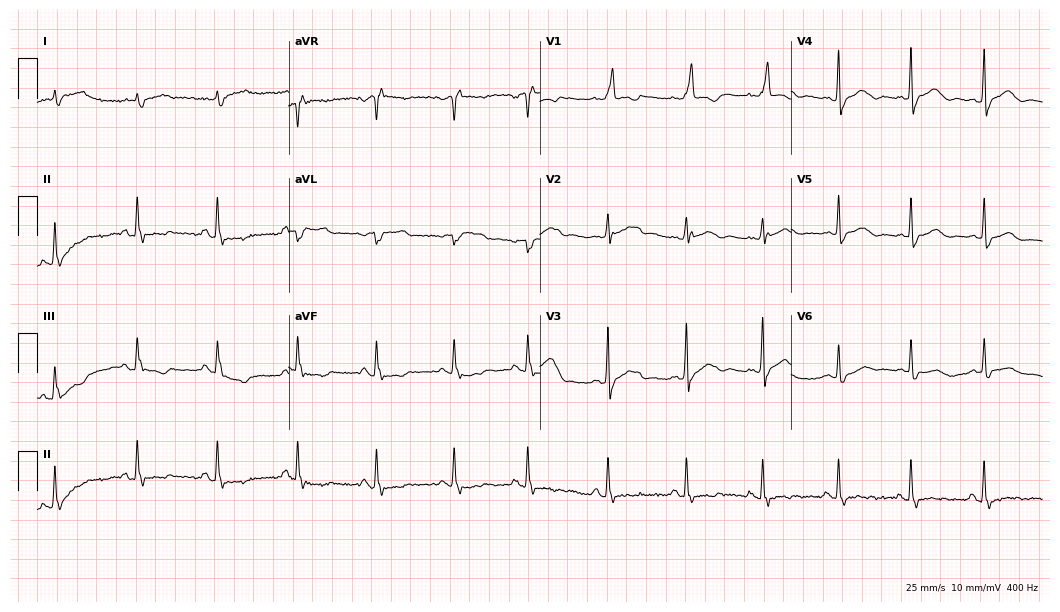
12-lead ECG from a 79-year-old man (10.2-second recording at 400 Hz). No first-degree AV block, right bundle branch block, left bundle branch block, sinus bradycardia, atrial fibrillation or sinus tachycardia recorded for this tracing. Other findings, if any, are not listed.